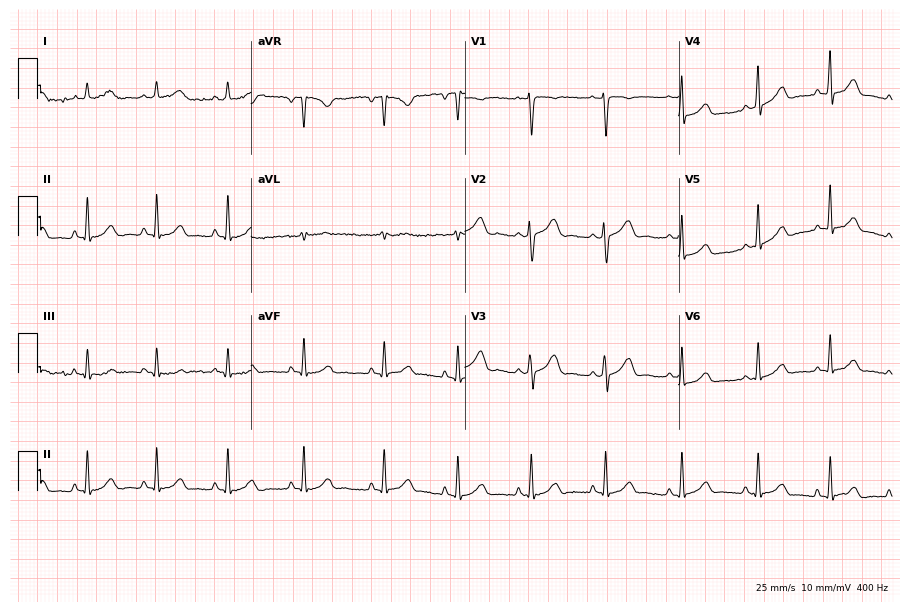
12-lead ECG from a female, 30 years old. Screened for six findings — first-degree AV block, right bundle branch block, left bundle branch block, sinus bradycardia, atrial fibrillation, sinus tachycardia — none is recorded. Other findings, if any, are not listed.